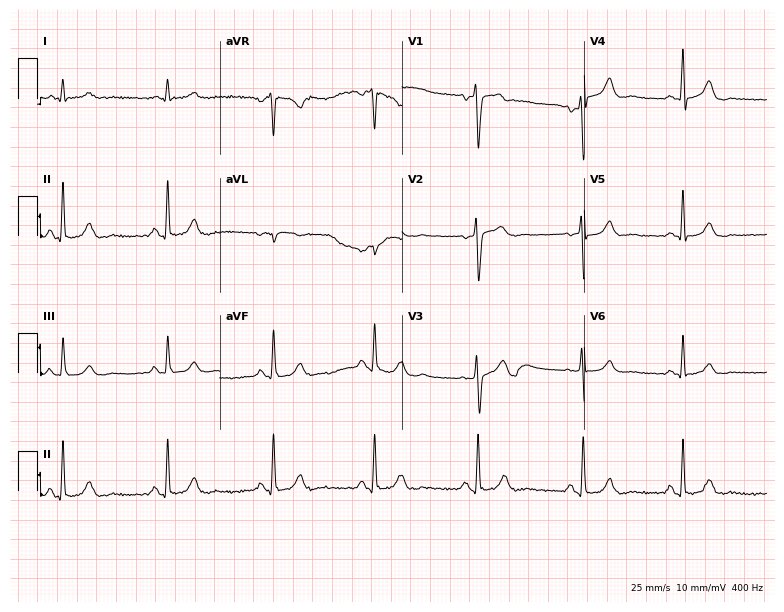
12-lead ECG from a 45-year-old male (7.4-second recording at 400 Hz). No first-degree AV block, right bundle branch block, left bundle branch block, sinus bradycardia, atrial fibrillation or sinus tachycardia recorded for this tracing. Other findings, if any, are not listed.